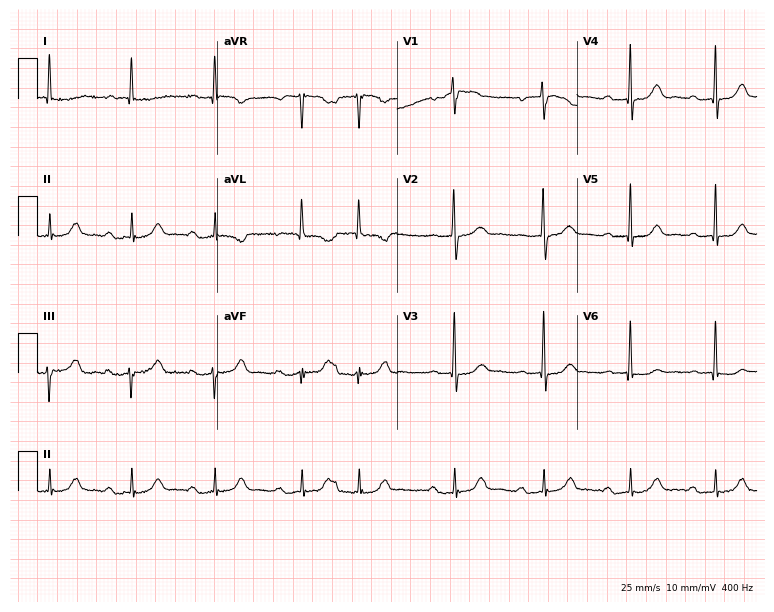
12-lead ECG from a woman, 77 years old. Shows first-degree AV block.